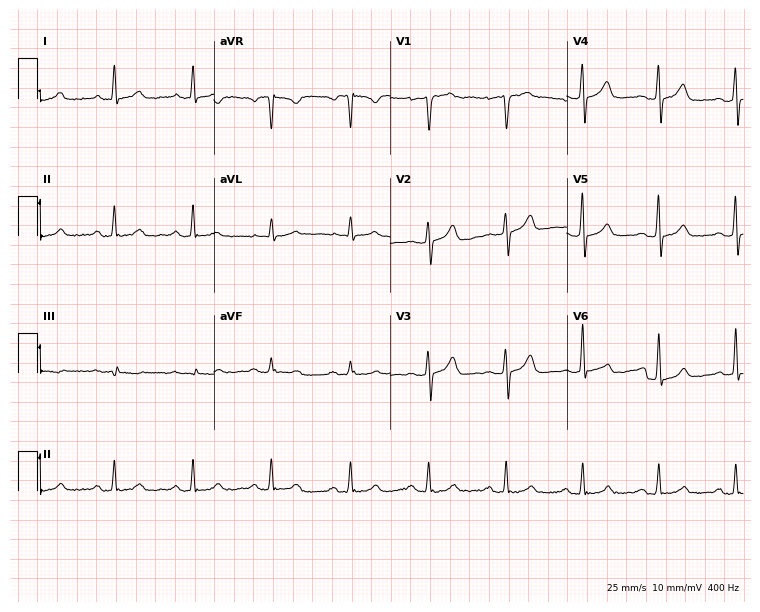
ECG (7.2-second recording at 400 Hz) — a 54-year-old female patient. Labelled as a normal ECG.